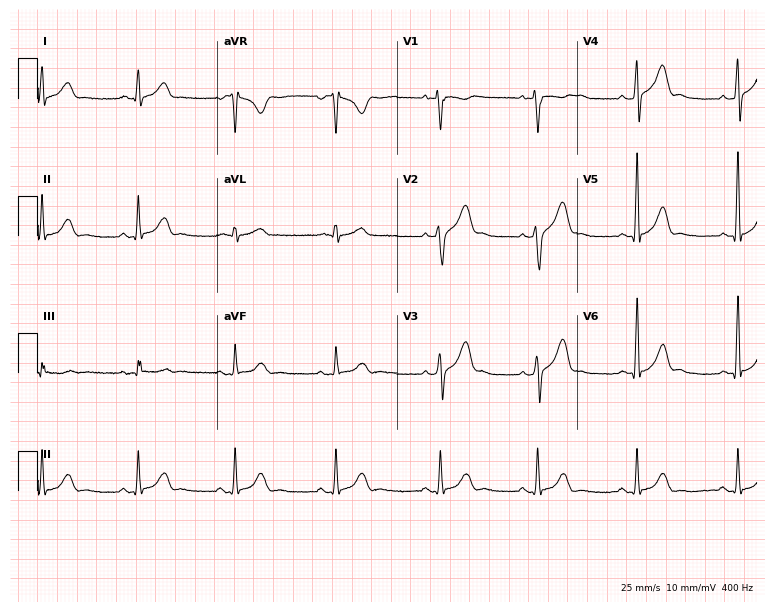
12-lead ECG from a male, 35 years old. Screened for six findings — first-degree AV block, right bundle branch block, left bundle branch block, sinus bradycardia, atrial fibrillation, sinus tachycardia — none is recorded. Only these six findings were labelled.